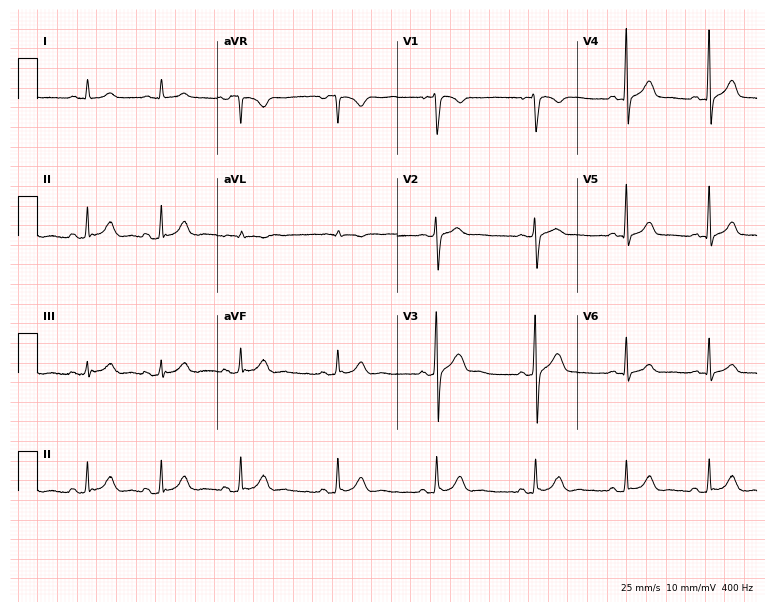
12-lead ECG from a 24-year-old man. Labelled as a normal ECG.